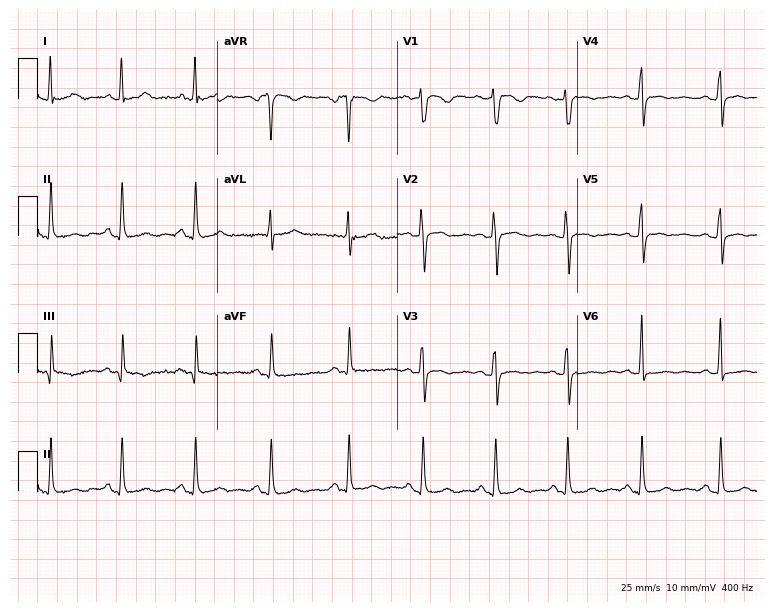
Resting 12-lead electrocardiogram (7.3-second recording at 400 Hz). Patient: a 29-year-old woman. None of these six findings is recorded: first-degree AV block, right bundle branch block (RBBB), left bundle branch block (LBBB), sinus bradycardia, atrial fibrillation (AF), sinus tachycardia.